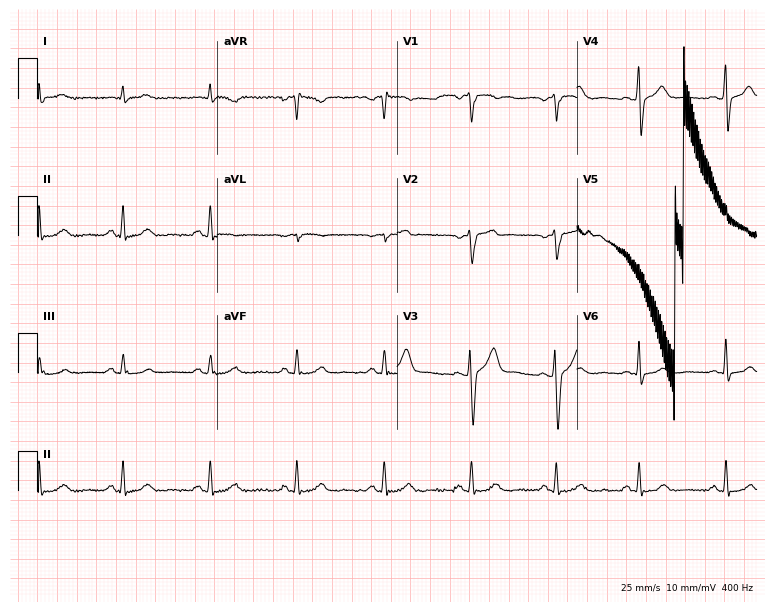
Standard 12-lead ECG recorded from a male patient, 49 years old (7.3-second recording at 400 Hz). None of these six findings is recorded: first-degree AV block, right bundle branch block, left bundle branch block, sinus bradycardia, atrial fibrillation, sinus tachycardia. Other findings, if any, are not listed.